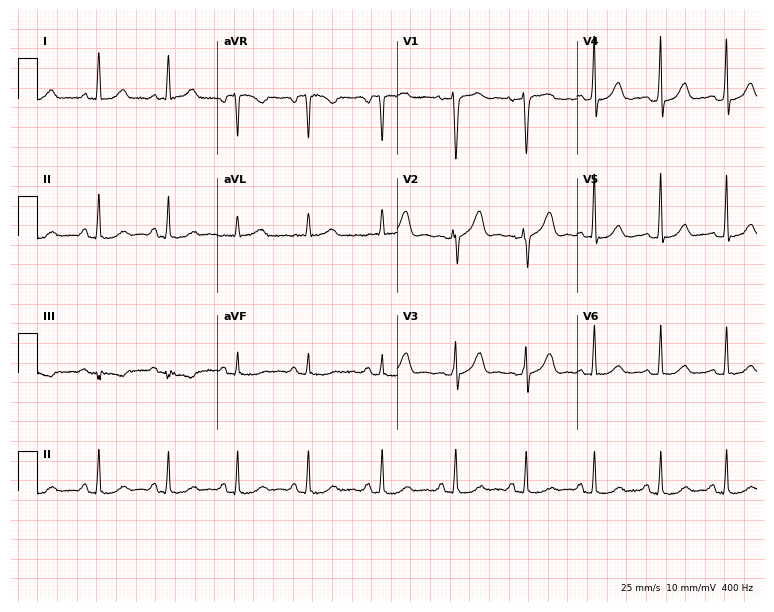
Standard 12-lead ECG recorded from a female patient, 56 years old (7.3-second recording at 400 Hz). None of these six findings is recorded: first-degree AV block, right bundle branch block, left bundle branch block, sinus bradycardia, atrial fibrillation, sinus tachycardia. Other findings, if any, are not listed.